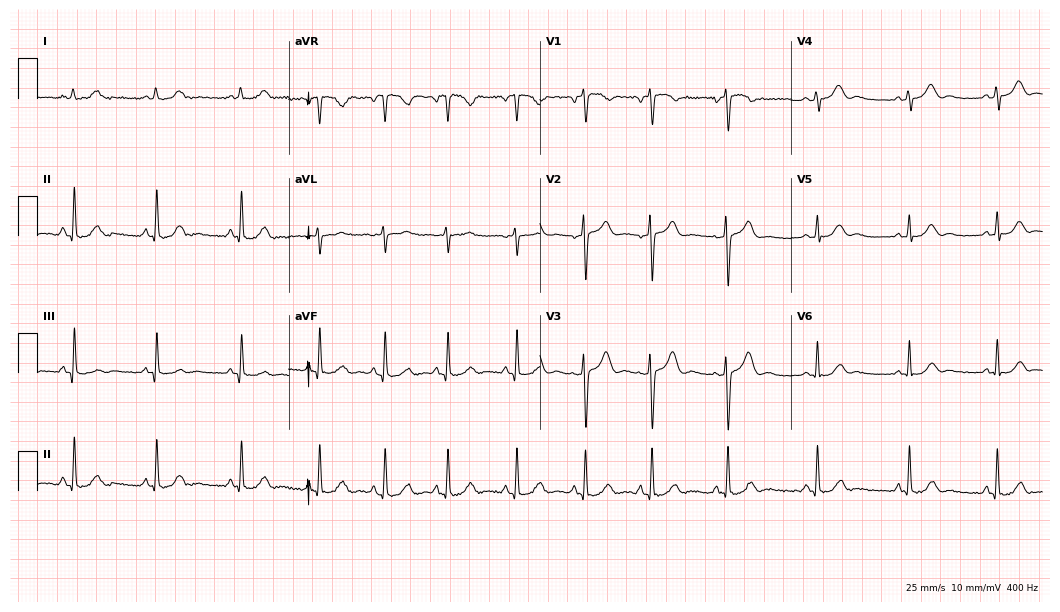
12-lead ECG from a 27-year-old woman. Labelled as a normal ECG.